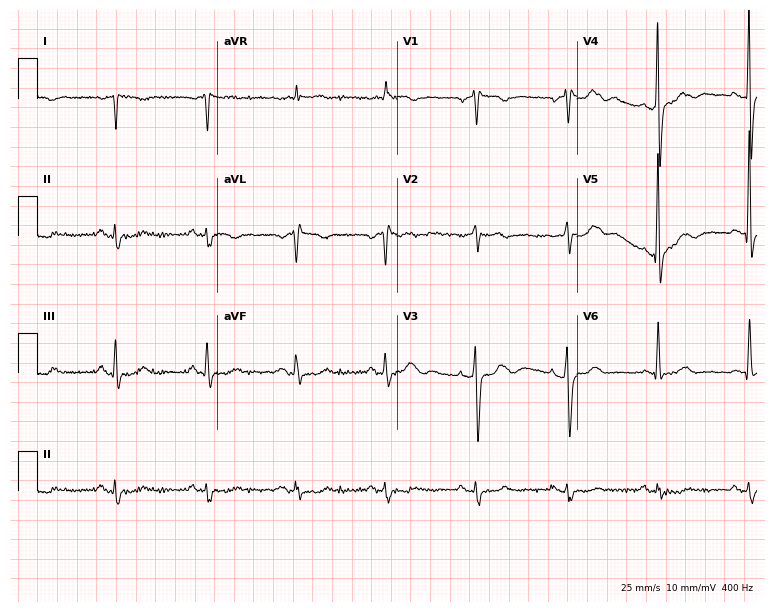
Resting 12-lead electrocardiogram. Patient: a female, 77 years old. None of these six findings is recorded: first-degree AV block, right bundle branch block, left bundle branch block, sinus bradycardia, atrial fibrillation, sinus tachycardia. Findings outside these six are not listed.